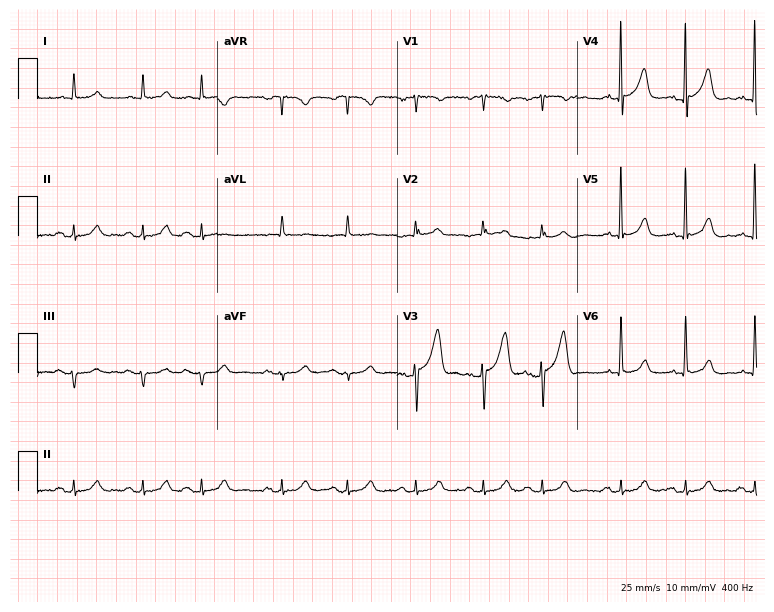
Resting 12-lead electrocardiogram (7.3-second recording at 400 Hz). Patient: an 82-year-old male. None of these six findings is recorded: first-degree AV block, right bundle branch block, left bundle branch block, sinus bradycardia, atrial fibrillation, sinus tachycardia. Findings outside these six are not listed.